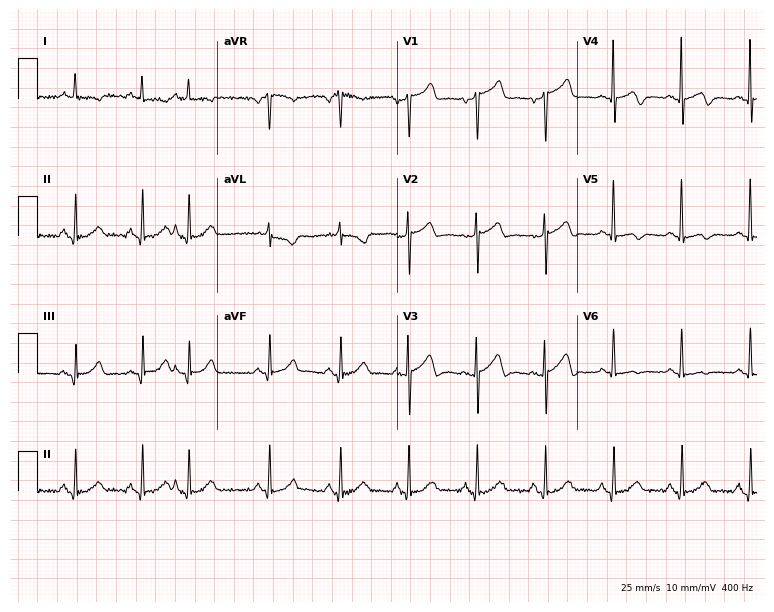
Standard 12-lead ECG recorded from a 77-year-old woman. None of these six findings is recorded: first-degree AV block, right bundle branch block (RBBB), left bundle branch block (LBBB), sinus bradycardia, atrial fibrillation (AF), sinus tachycardia.